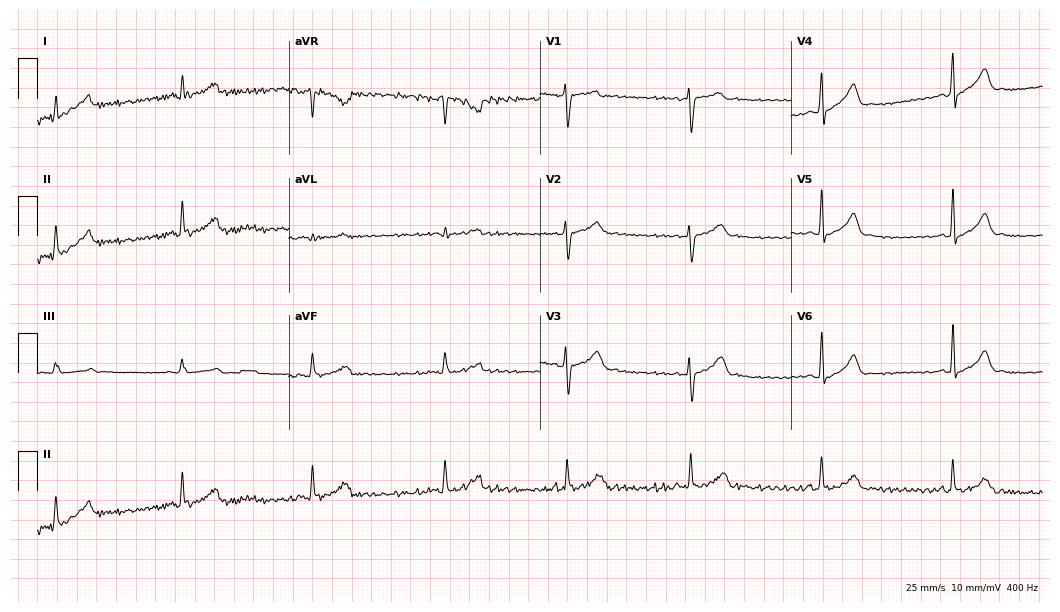
ECG — a 25-year-old man. Screened for six findings — first-degree AV block, right bundle branch block, left bundle branch block, sinus bradycardia, atrial fibrillation, sinus tachycardia — none is recorded. Other findings, if any, are not listed.